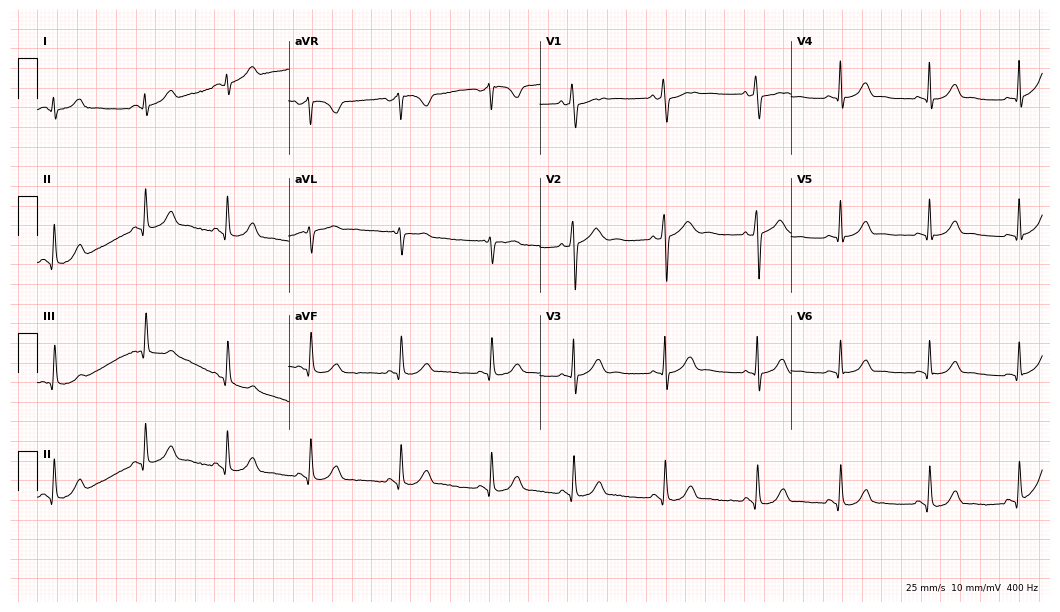
12-lead ECG (10.2-second recording at 400 Hz) from a 22-year-old female patient. Labelled as a normal ECG.